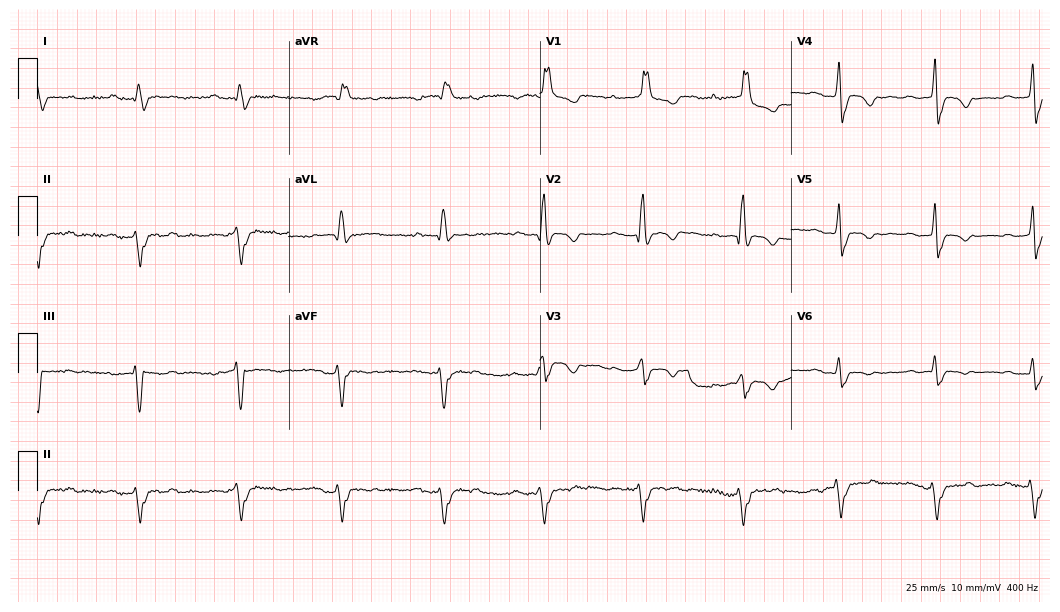
ECG — a female patient, 51 years old. Findings include first-degree AV block, right bundle branch block.